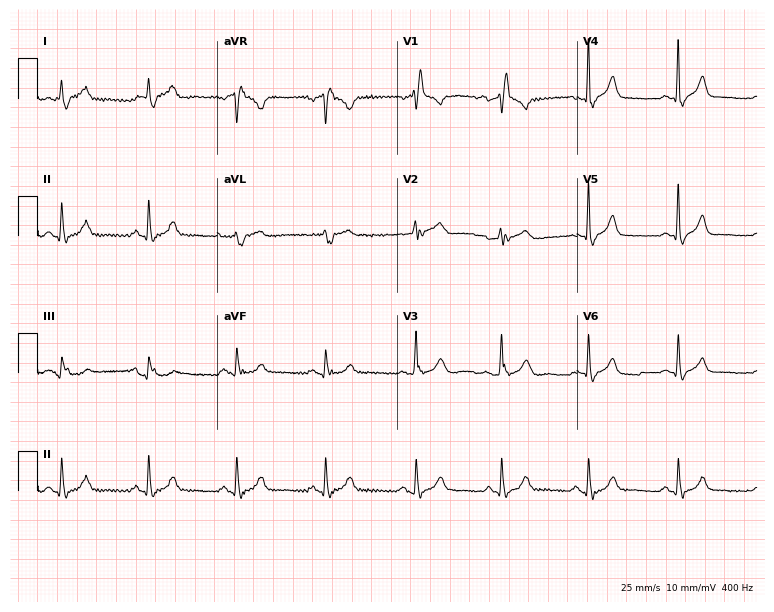
12-lead ECG from a male patient, 61 years old (7.3-second recording at 400 Hz). Shows right bundle branch block.